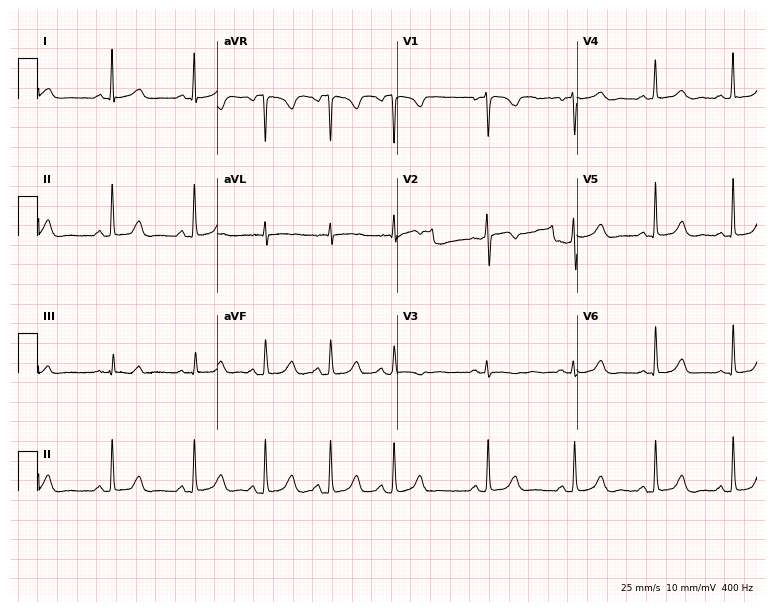
Resting 12-lead electrocardiogram. Patient: a 19-year-old female. Read as a normal ECG.